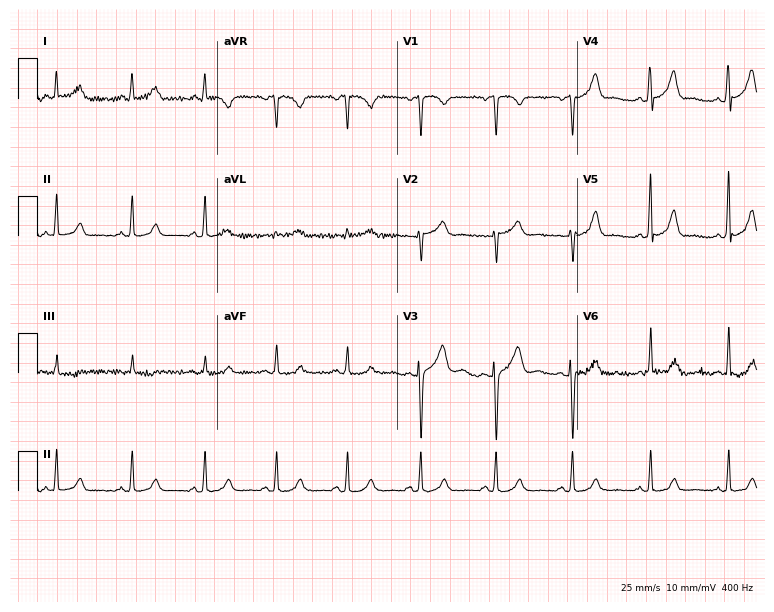
Resting 12-lead electrocardiogram (7.3-second recording at 400 Hz). Patient: a 34-year-old female. None of these six findings is recorded: first-degree AV block, right bundle branch block (RBBB), left bundle branch block (LBBB), sinus bradycardia, atrial fibrillation (AF), sinus tachycardia. Other findings, if any, are not listed.